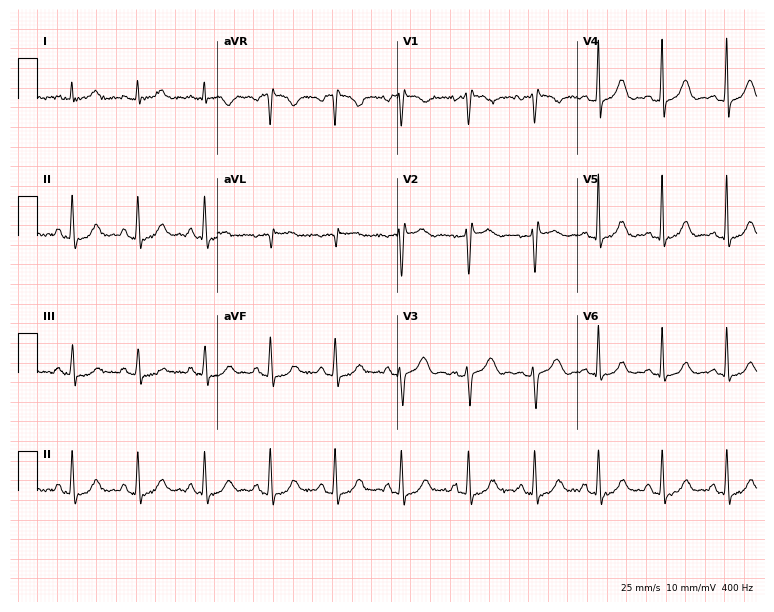
ECG — a female patient, 43 years old. Labelled as a normal ECG.